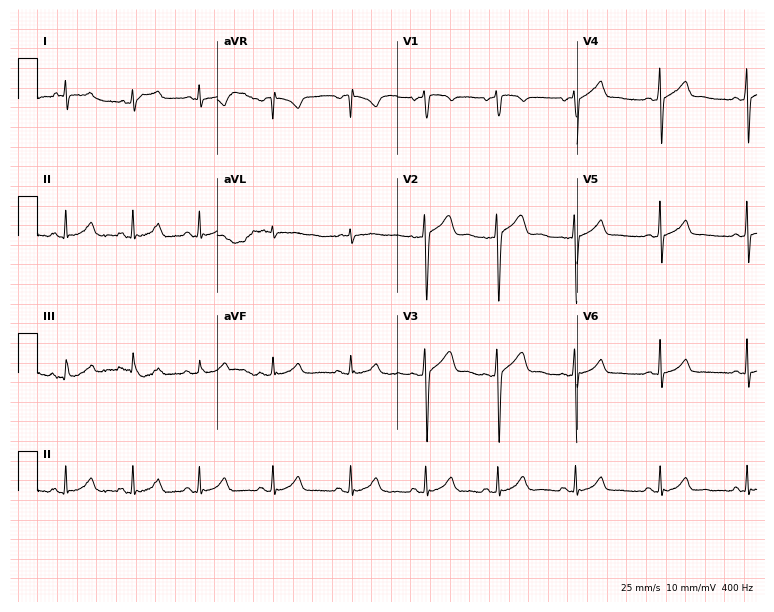
Resting 12-lead electrocardiogram (7.3-second recording at 400 Hz). Patient: a male, 27 years old. Read as a normal ECG.